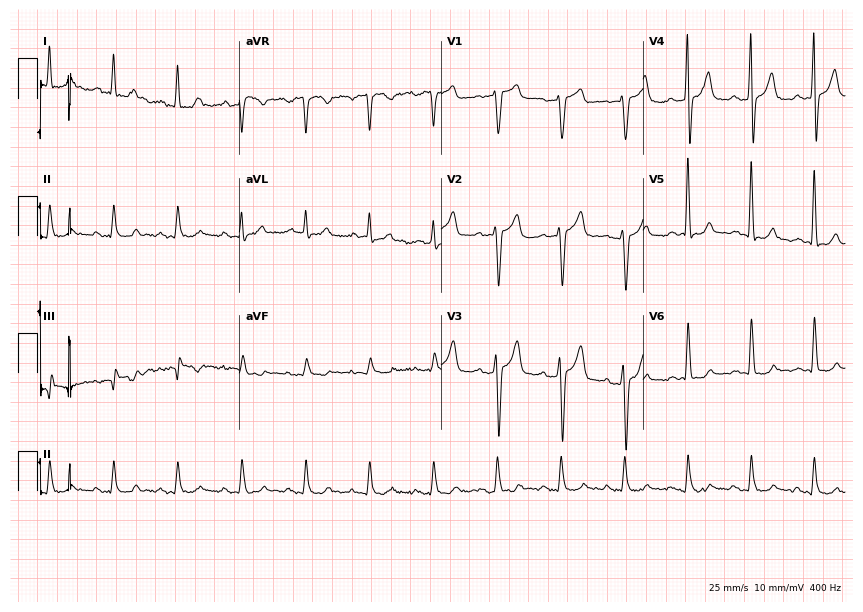
ECG (8.2-second recording at 400 Hz) — a 63-year-old man. Labelled as a normal ECG.